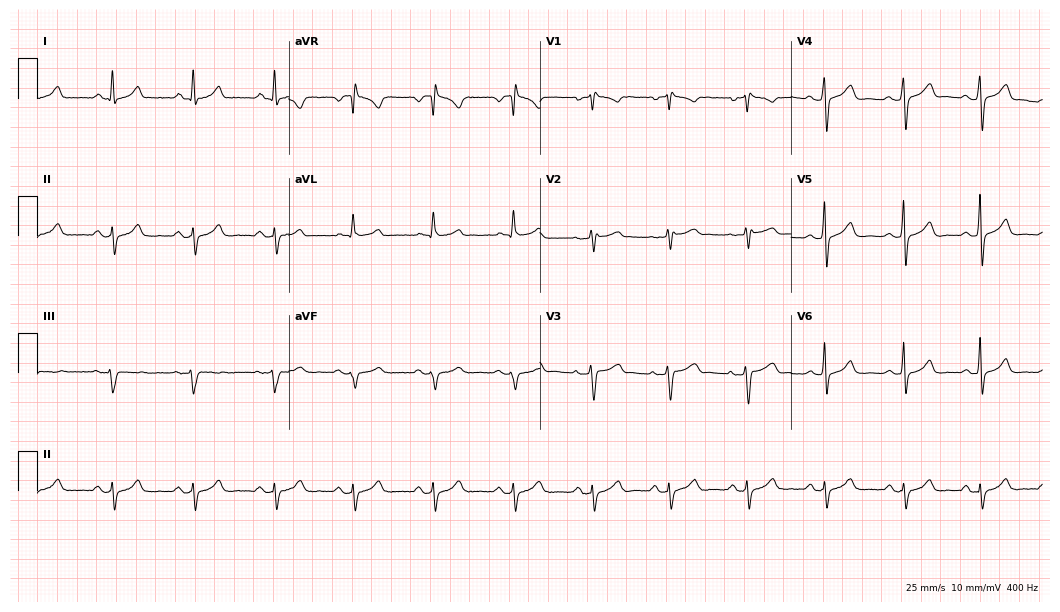
Resting 12-lead electrocardiogram (10.2-second recording at 400 Hz). Patient: a woman, 46 years old. None of these six findings is recorded: first-degree AV block, right bundle branch block, left bundle branch block, sinus bradycardia, atrial fibrillation, sinus tachycardia.